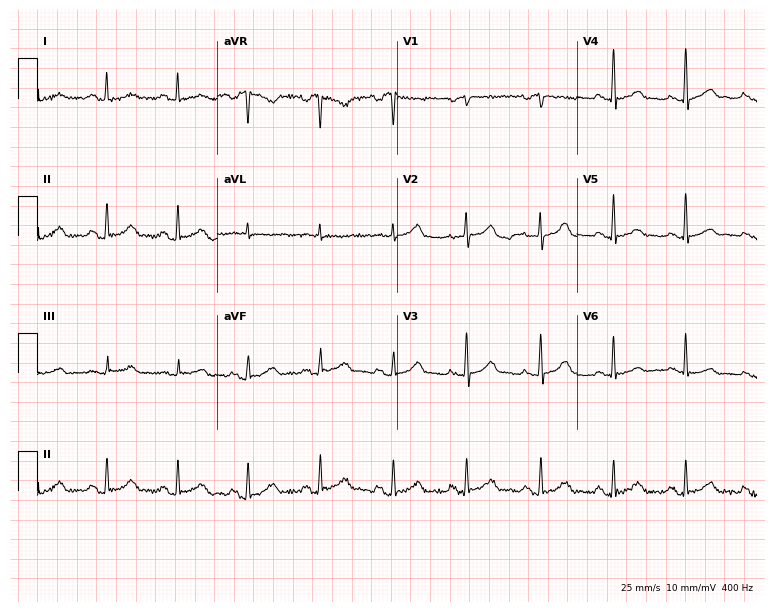
12-lead ECG (7.3-second recording at 400 Hz) from a 69-year-old woman. Labelled as a normal ECG.